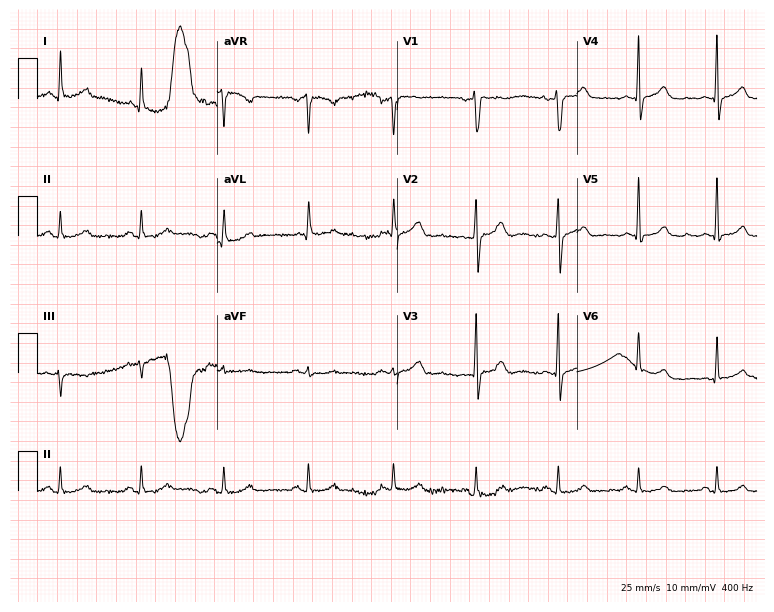
Standard 12-lead ECG recorded from a 59-year-old female. None of these six findings is recorded: first-degree AV block, right bundle branch block, left bundle branch block, sinus bradycardia, atrial fibrillation, sinus tachycardia.